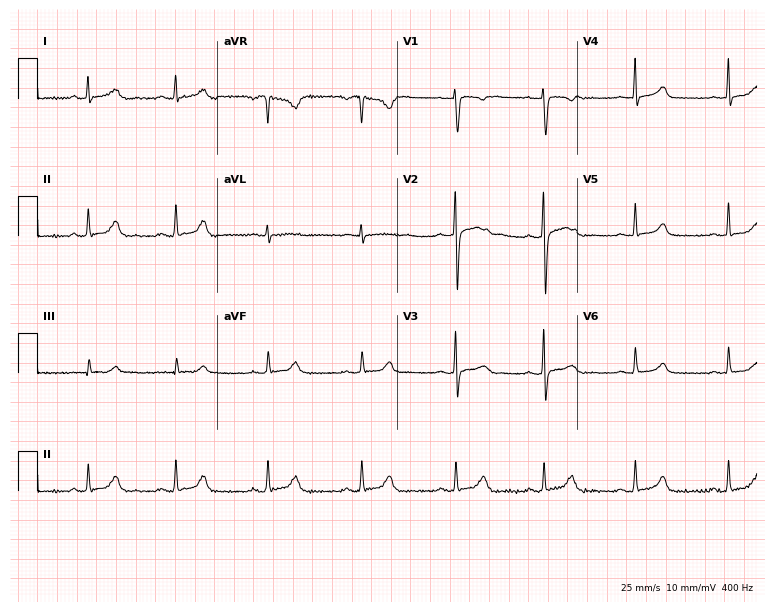
Resting 12-lead electrocardiogram. Patient: a female, 22 years old. Read as a normal ECG.